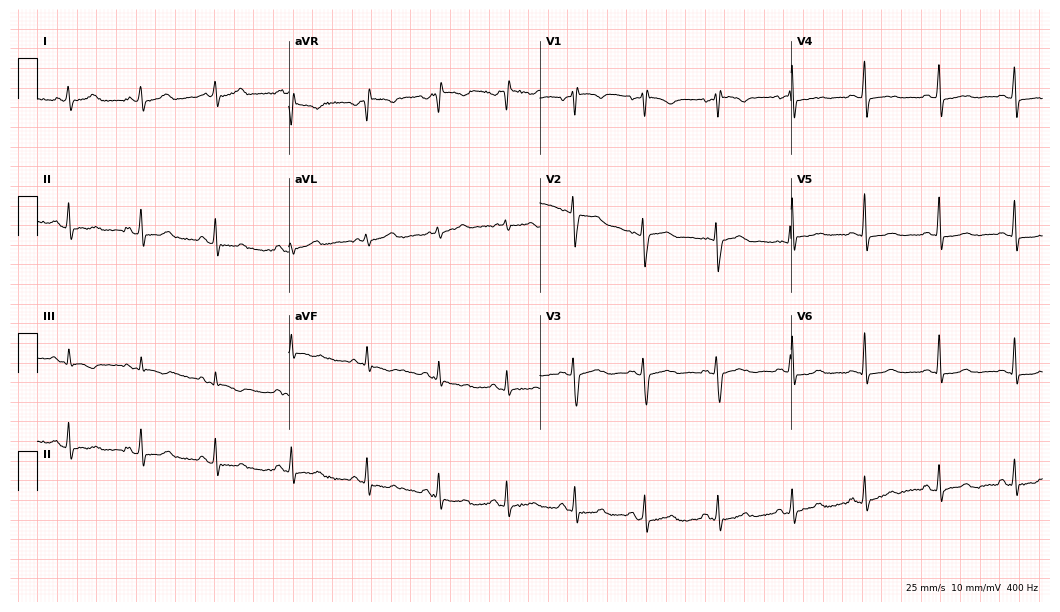
Electrocardiogram (10.2-second recording at 400 Hz), a female patient, 43 years old. Of the six screened findings (first-degree AV block, right bundle branch block (RBBB), left bundle branch block (LBBB), sinus bradycardia, atrial fibrillation (AF), sinus tachycardia), none is recorded.